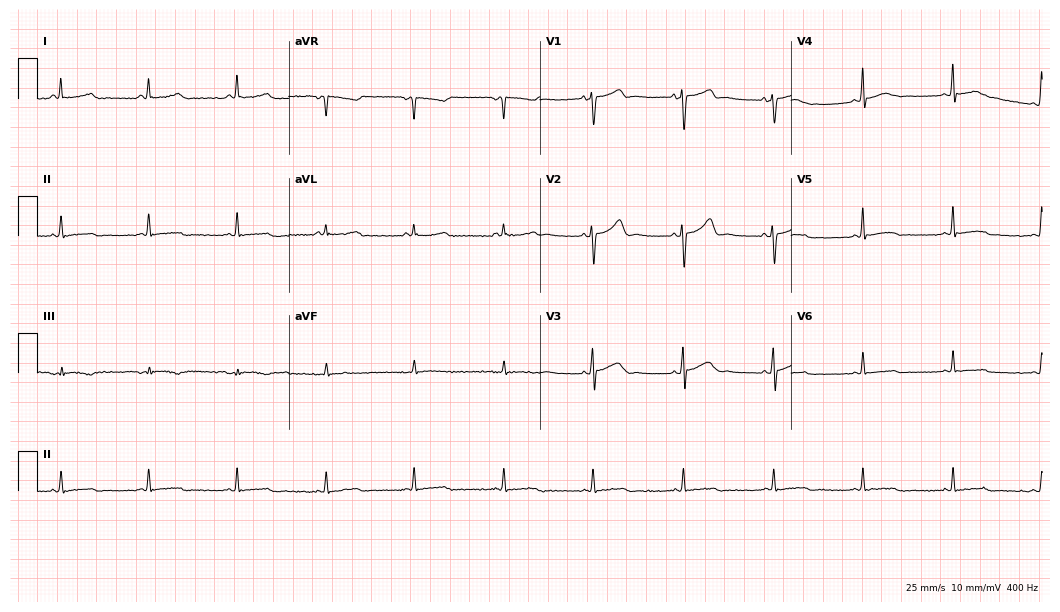
12-lead ECG from a woman, 37 years old. Recorded interpretation: within normal limits.